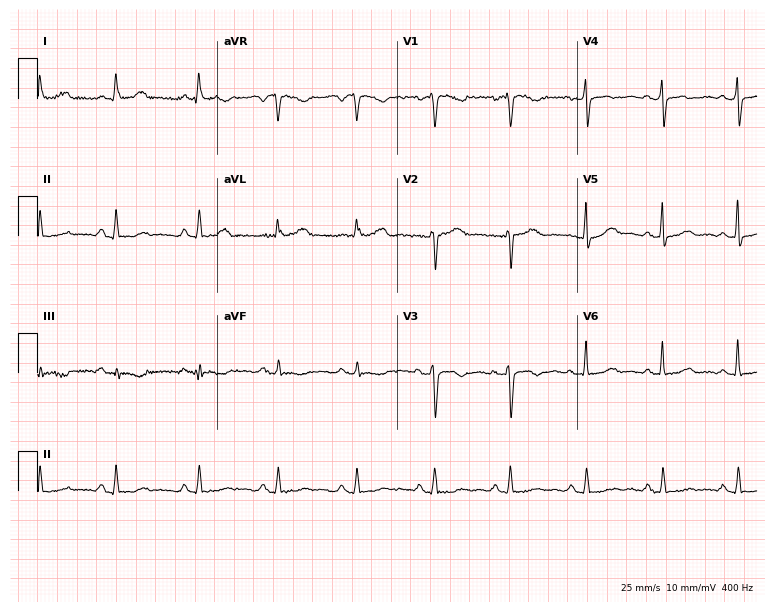
ECG — a 77-year-old man. Screened for six findings — first-degree AV block, right bundle branch block (RBBB), left bundle branch block (LBBB), sinus bradycardia, atrial fibrillation (AF), sinus tachycardia — none is recorded. Other findings, if any, are not listed.